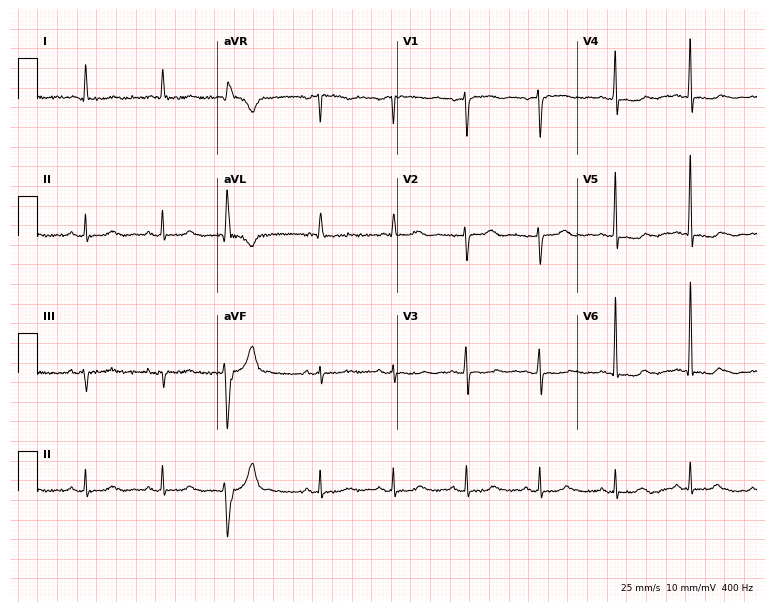
Standard 12-lead ECG recorded from a 70-year-old female patient. None of these six findings is recorded: first-degree AV block, right bundle branch block, left bundle branch block, sinus bradycardia, atrial fibrillation, sinus tachycardia. Findings outside these six are not listed.